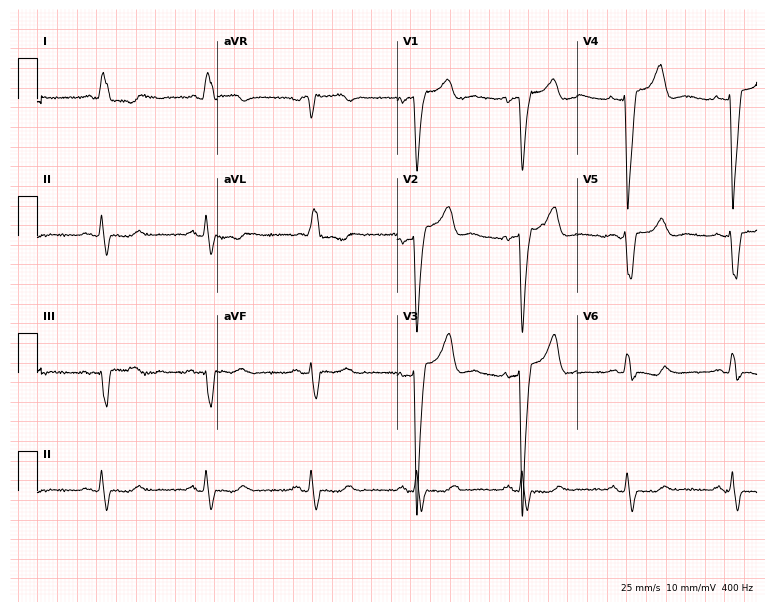
ECG (7.3-second recording at 400 Hz) — an 82-year-old female patient. Findings include left bundle branch block (LBBB).